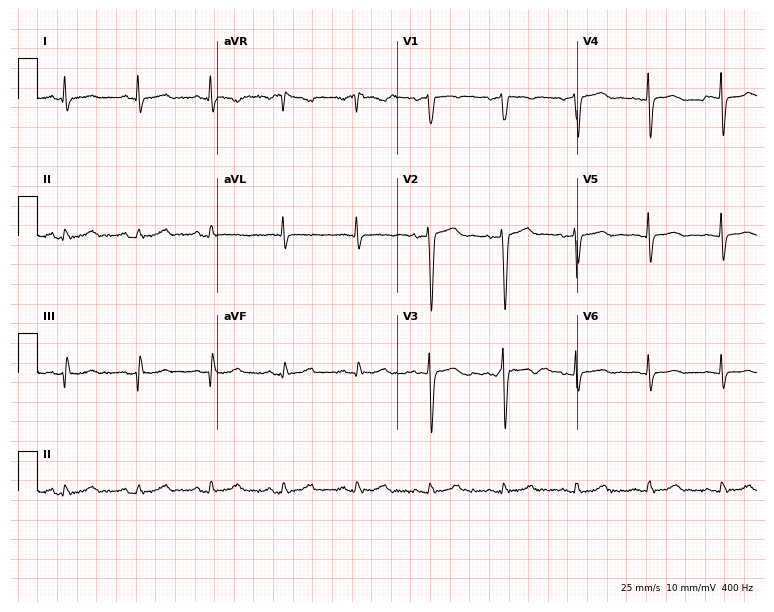
Standard 12-lead ECG recorded from a female patient, 57 years old. Read as a normal ECG.